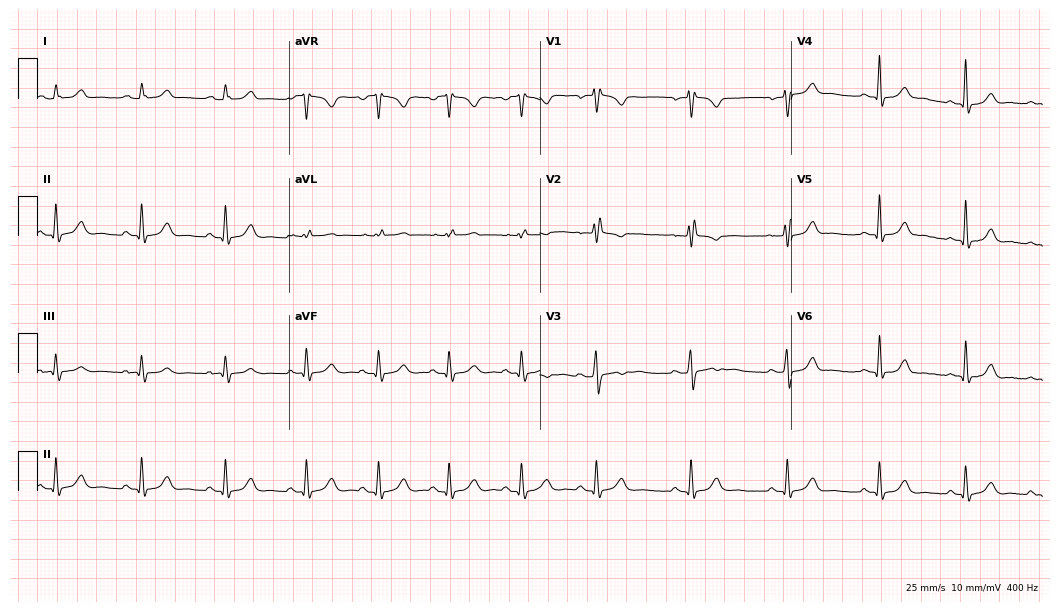
12-lead ECG from a 22-year-old female. Labelled as a normal ECG.